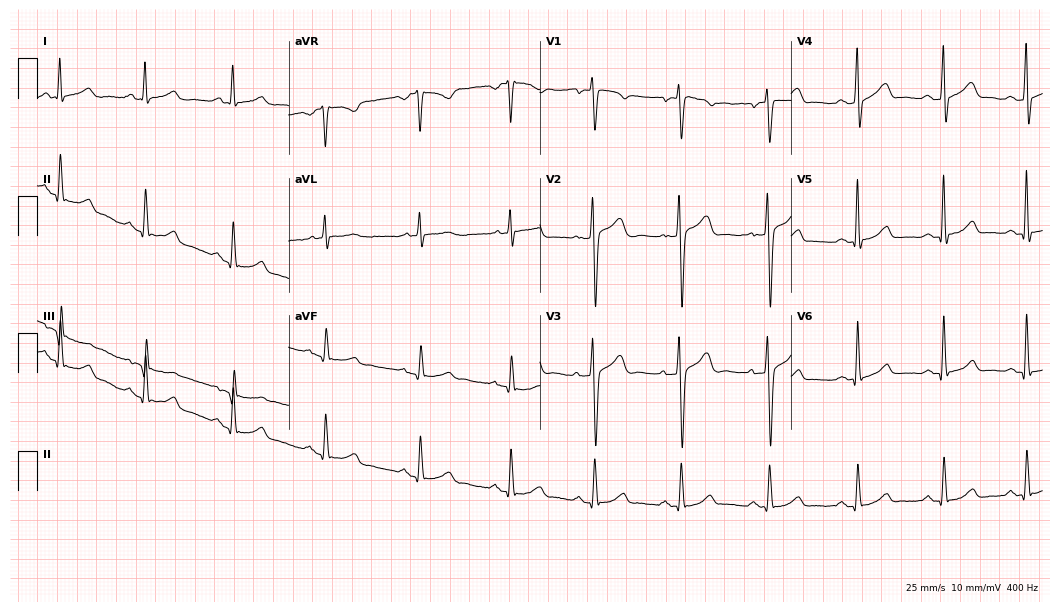
Standard 12-lead ECG recorded from a 35-year-old male patient (10.2-second recording at 400 Hz). Read as a normal ECG.